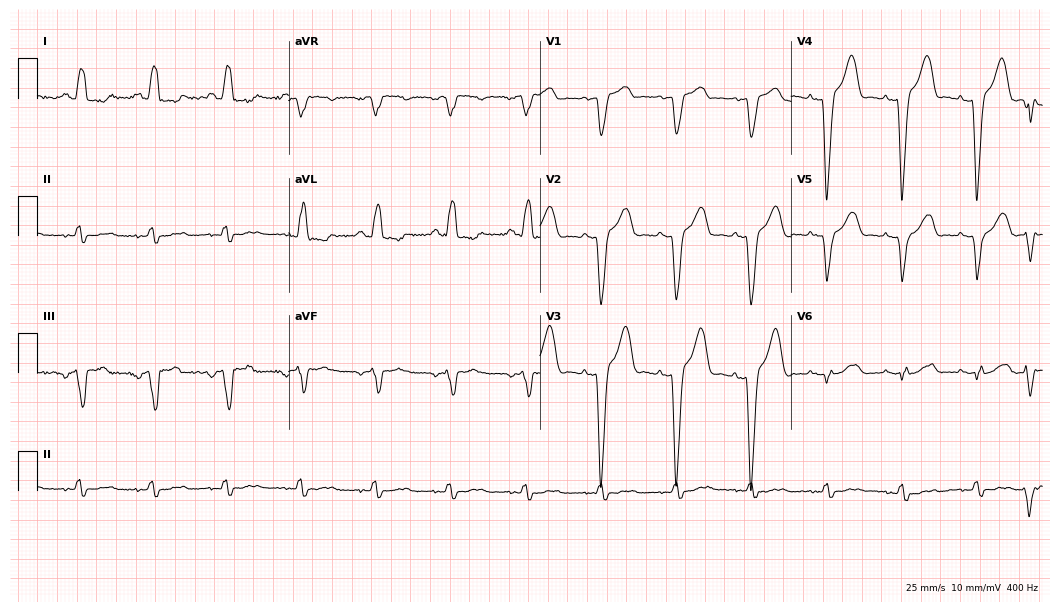
12-lead ECG (10.2-second recording at 400 Hz) from a male, 72 years old. Findings include left bundle branch block.